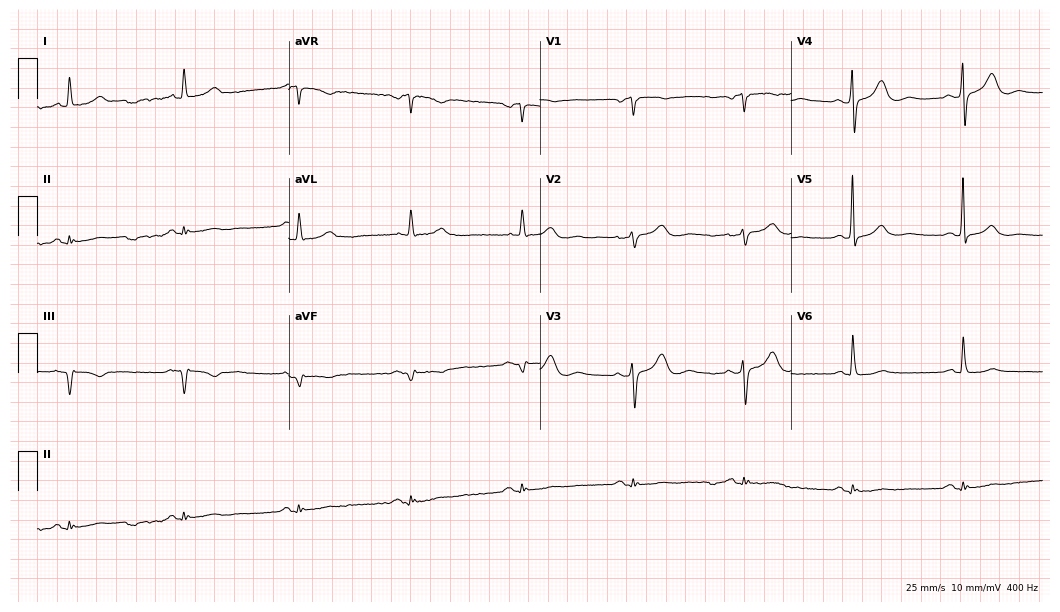
Standard 12-lead ECG recorded from a male patient, 82 years old. None of these six findings is recorded: first-degree AV block, right bundle branch block, left bundle branch block, sinus bradycardia, atrial fibrillation, sinus tachycardia.